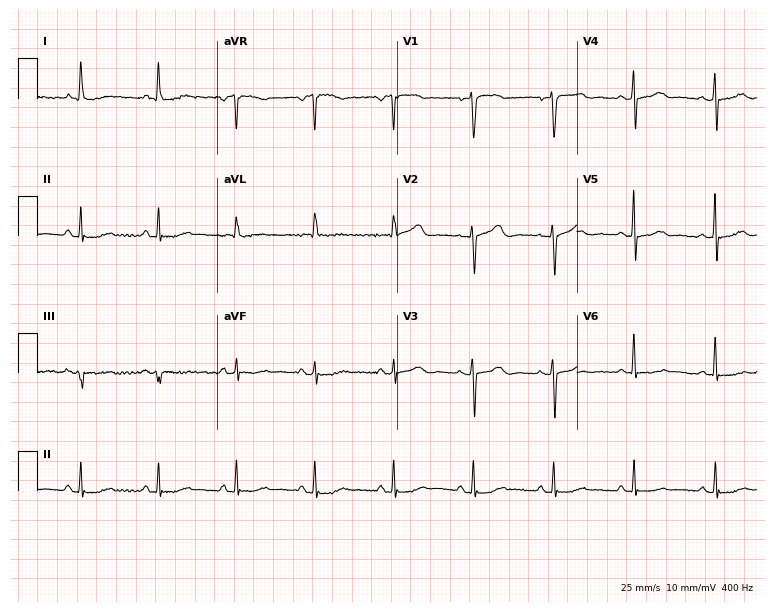
12-lead ECG from a 76-year-old female patient. No first-degree AV block, right bundle branch block (RBBB), left bundle branch block (LBBB), sinus bradycardia, atrial fibrillation (AF) or sinus tachycardia recorded for this tracing.